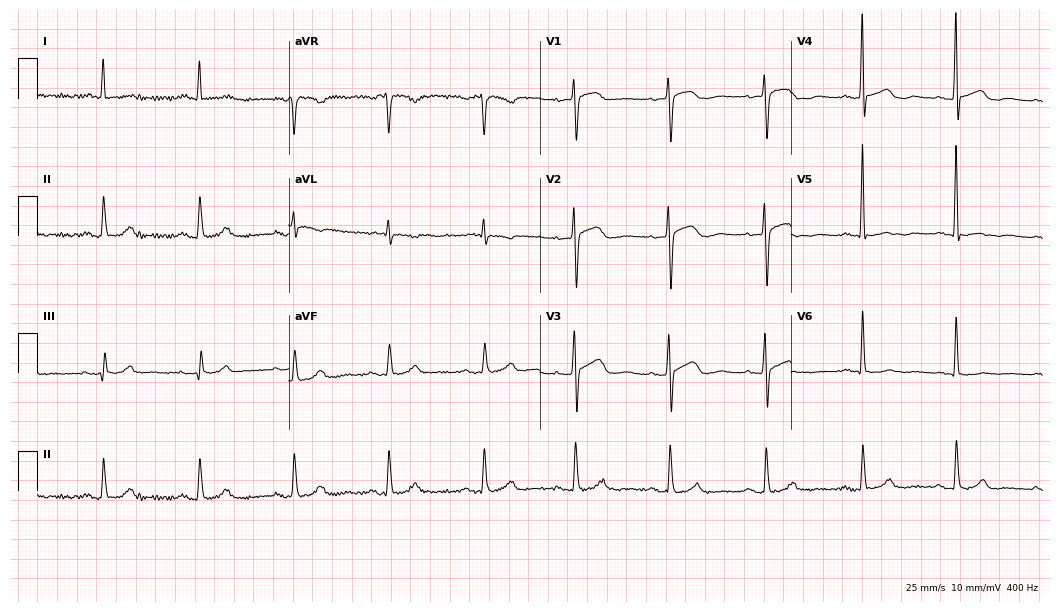
12-lead ECG from a female patient, 81 years old. No first-degree AV block, right bundle branch block, left bundle branch block, sinus bradycardia, atrial fibrillation or sinus tachycardia recorded for this tracing.